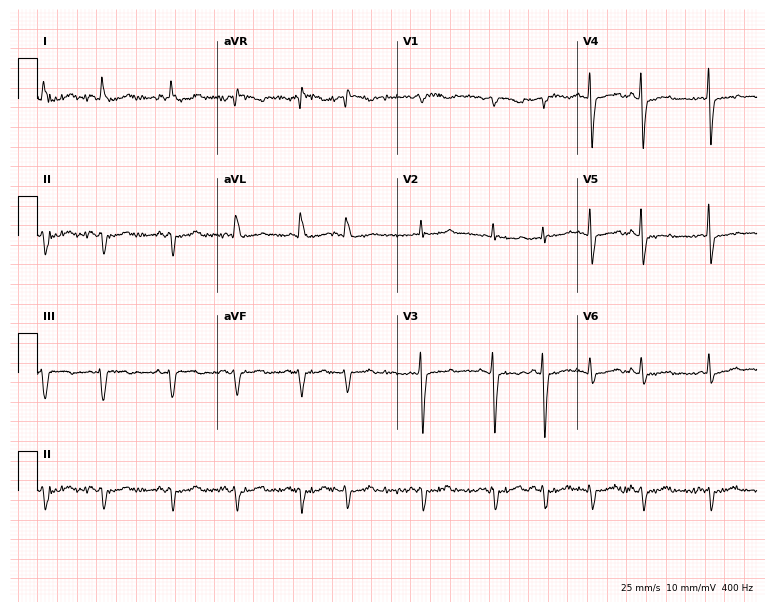
12-lead ECG (7.3-second recording at 400 Hz) from an 82-year-old male. Screened for six findings — first-degree AV block, right bundle branch block, left bundle branch block, sinus bradycardia, atrial fibrillation, sinus tachycardia — none is recorded.